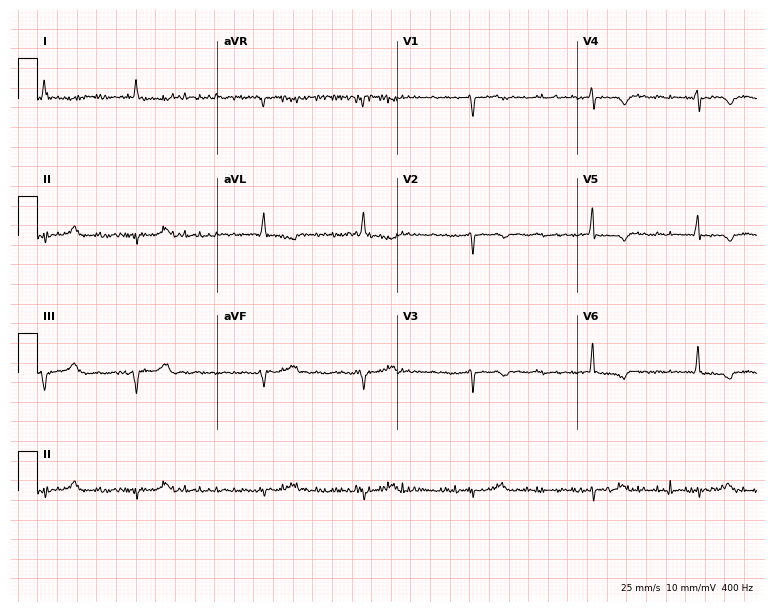
Resting 12-lead electrocardiogram. Patient: a man, 81 years old. The tracing shows atrial fibrillation.